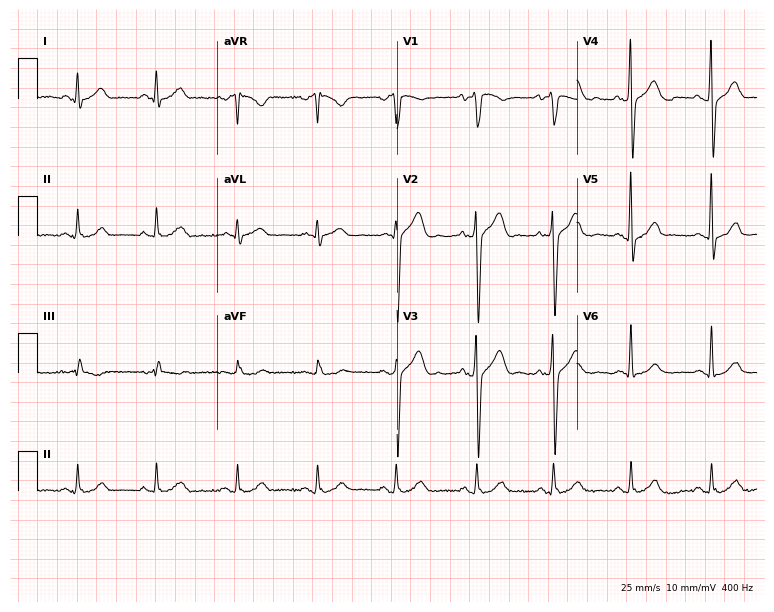
ECG — a male, 47 years old. Labelled as a normal ECG.